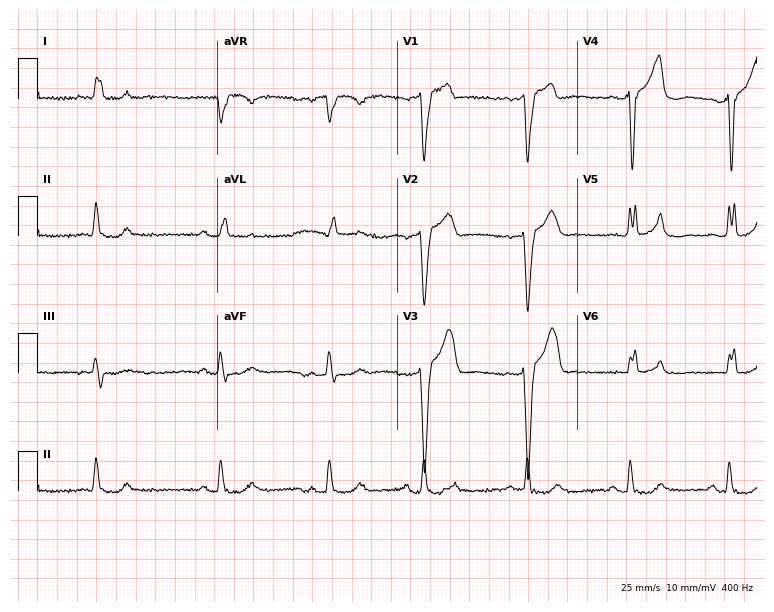
12-lead ECG from a man, 81 years old (7.3-second recording at 400 Hz). Shows left bundle branch block.